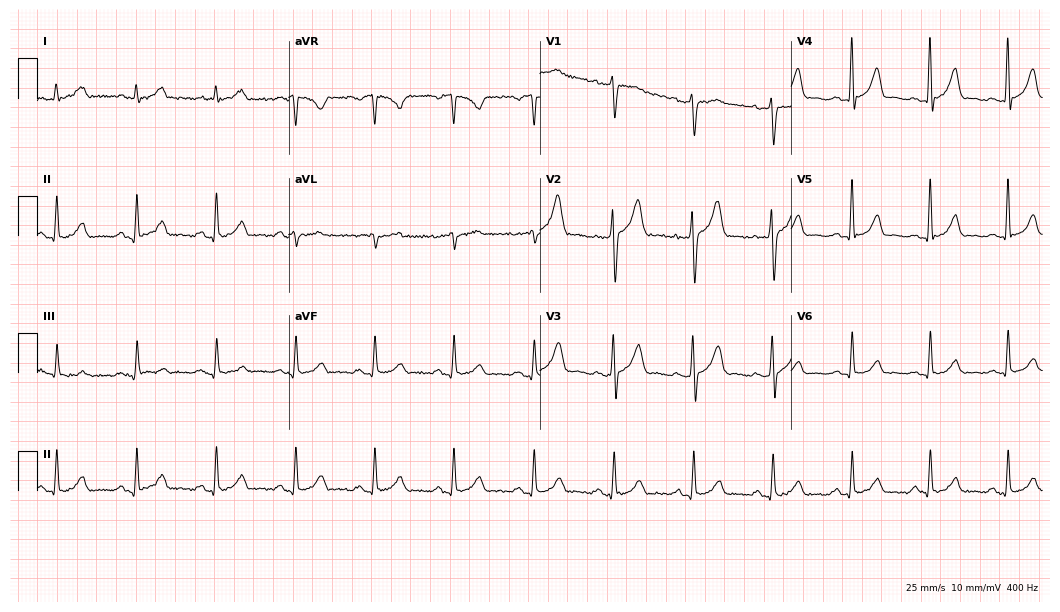
ECG (10.2-second recording at 400 Hz) — a male, 55 years old. Screened for six findings — first-degree AV block, right bundle branch block (RBBB), left bundle branch block (LBBB), sinus bradycardia, atrial fibrillation (AF), sinus tachycardia — none is recorded.